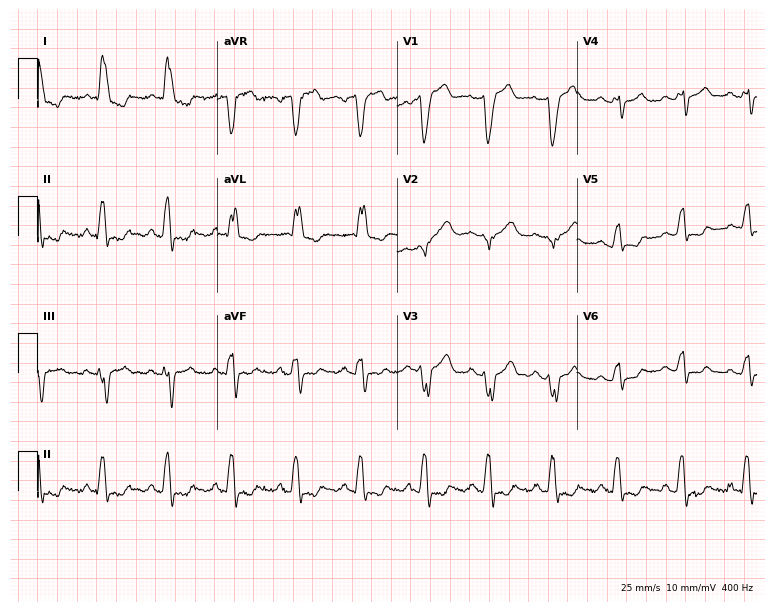
Resting 12-lead electrocardiogram. Patient: a 49-year-old female. The tracing shows left bundle branch block.